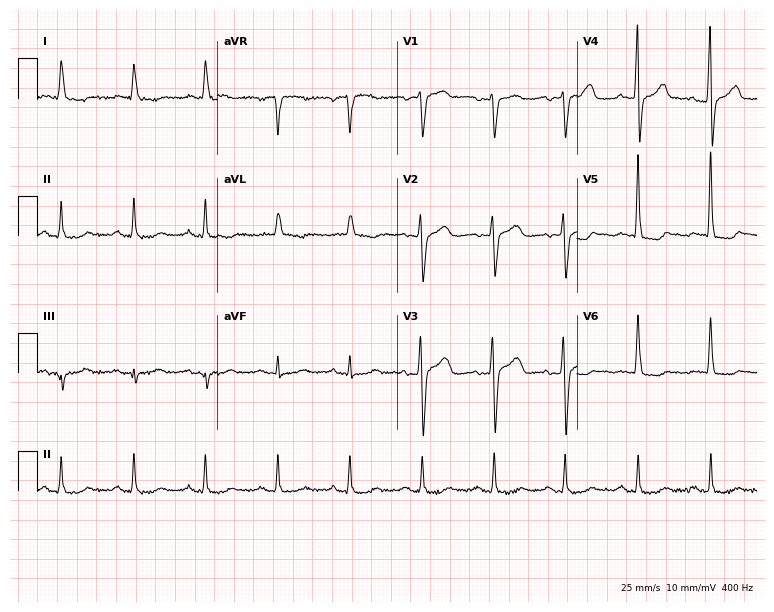
12-lead ECG from a 77-year-old female. Screened for six findings — first-degree AV block, right bundle branch block (RBBB), left bundle branch block (LBBB), sinus bradycardia, atrial fibrillation (AF), sinus tachycardia — none is recorded. Findings outside these six are not listed.